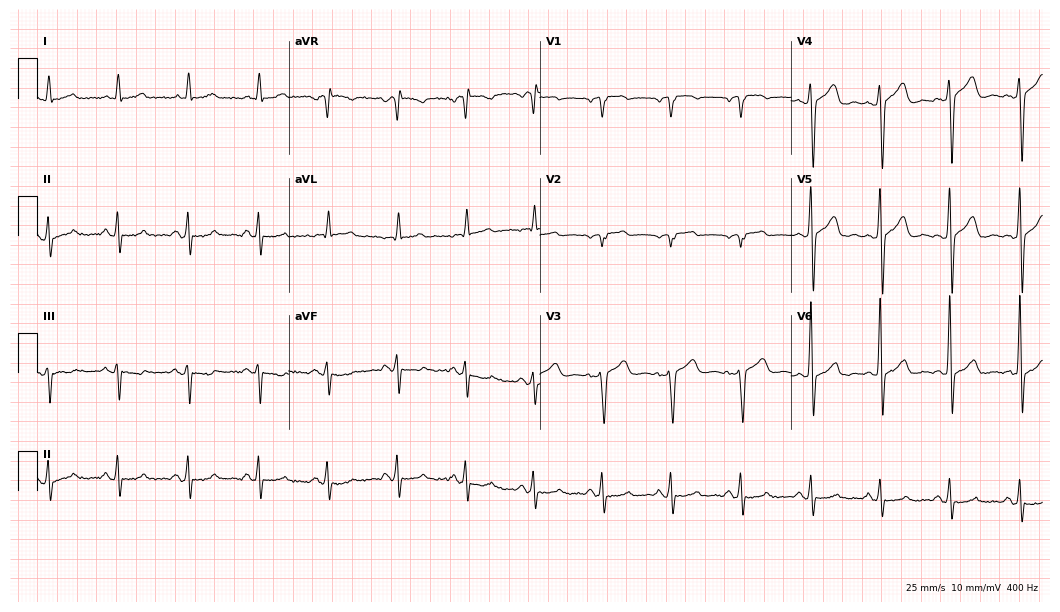
ECG — a man, 61 years old. Screened for six findings — first-degree AV block, right bundle branch block, left bundle branch block, sinus bradycardia, atrial fibrillation, sinus tachycardia — none is recorded. Findings outside these six are not listed.